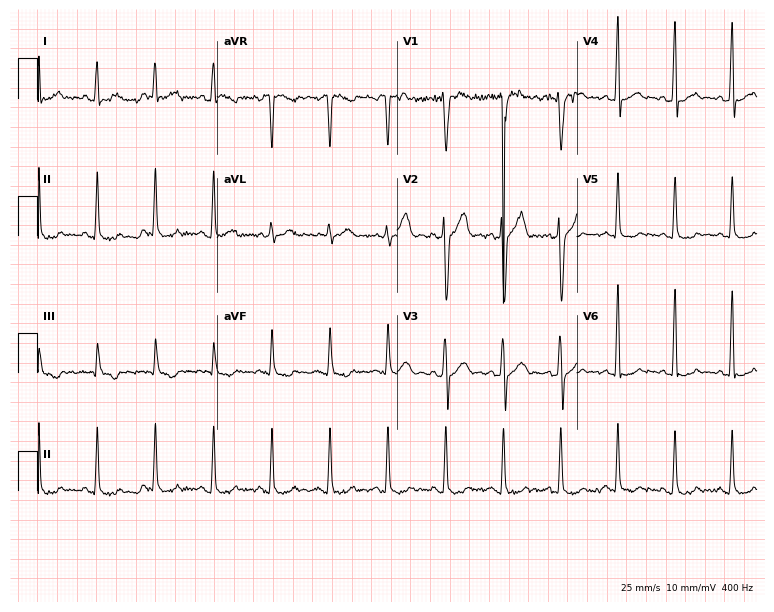
Electrocardiogram (7.3-second recording at 400 Hz), a male patient, 31 years old. Interpretation includes sinus tachycardia (a sinus rate of 100 beats per minute or more).